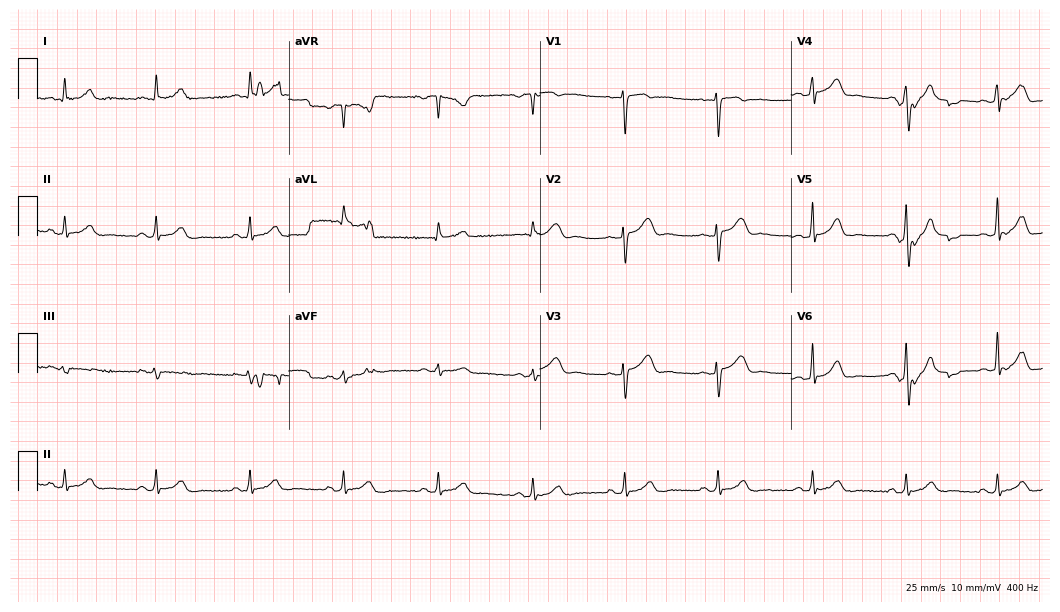
Electrocardiogram (10.2-second recording at 400 Hz), a 32-year-old female. Overall reading on record: normal ECG.